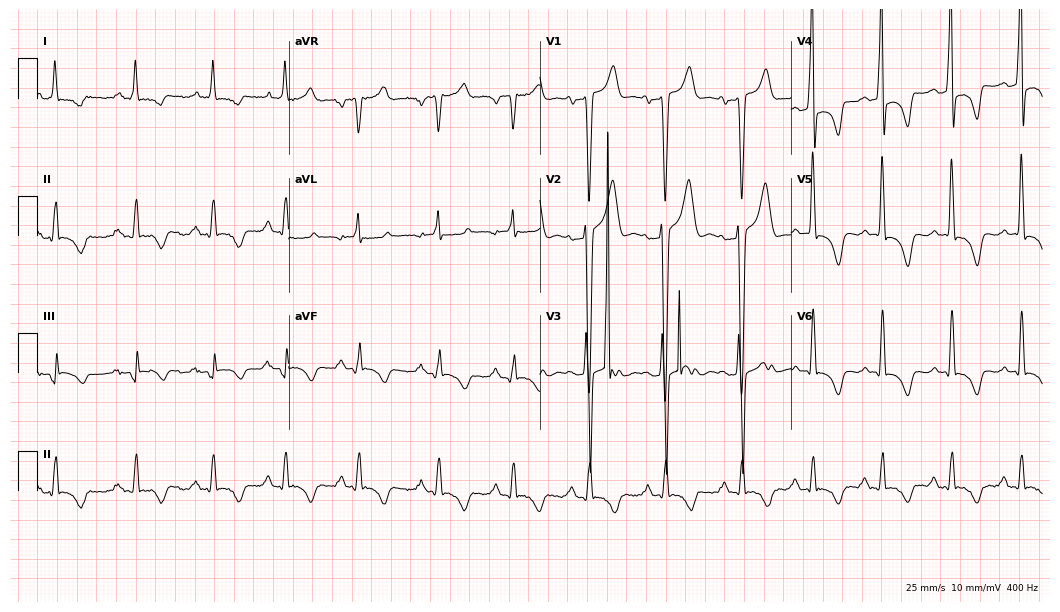
Electrocardiogram (10.2-second recording at 400 Hz), a 42-year-old male patient. Of the six screened findings (first-degree AV block, right bundle branch block (RBBB), left bundle branch block (LBBB), sinus bradycardia, atrial fibrillation (AF), sinus tachycardia), none is recorded.